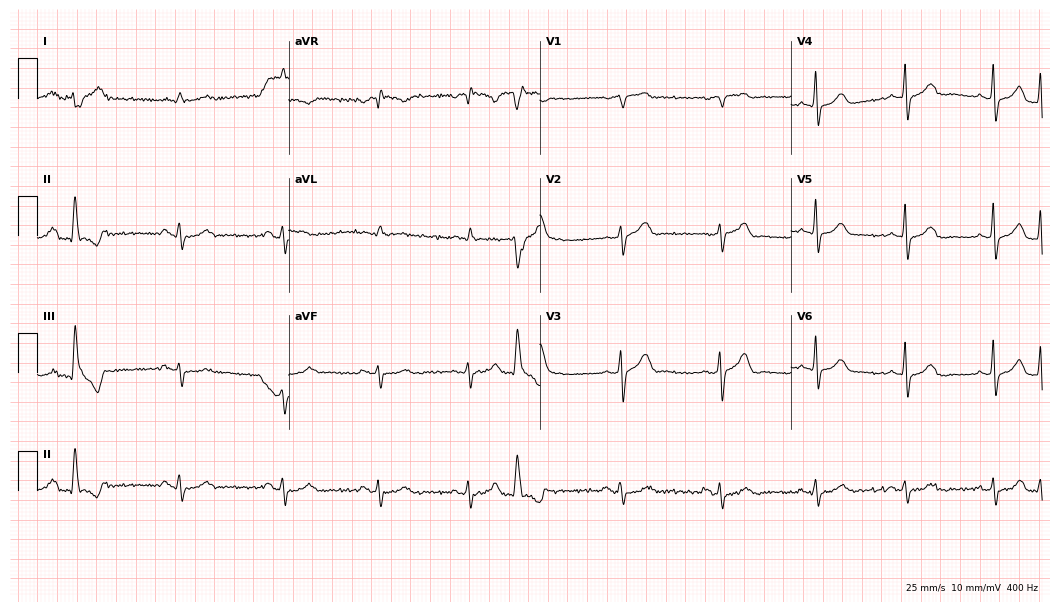
Resting 12-lead electrocardiogram (10.2-second recording at 400 Hz). Patient: a male, 86 years old. None of these six findings is recorded: first-degree AV block, right bundle branch block, left bundle branch block, sinus bradycardia, atrial fibrillation, sinus tachycardia. Only these six findings were labelled.